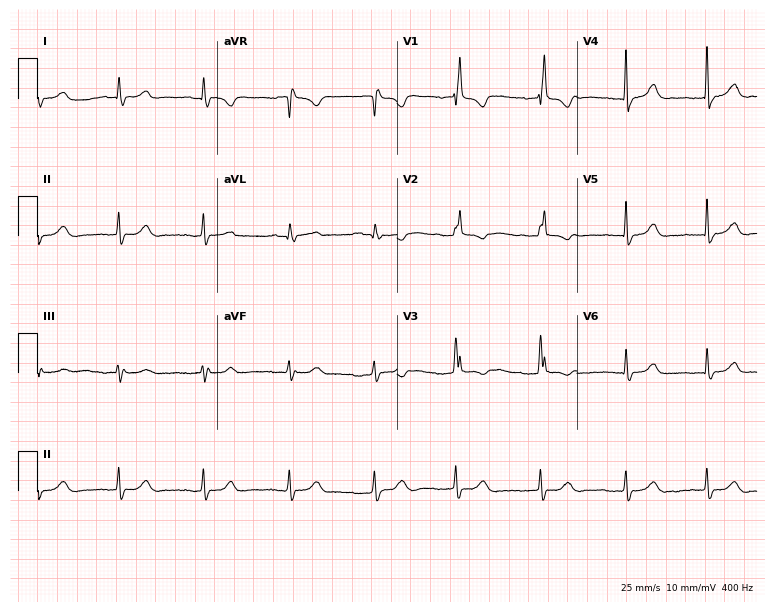
12-lead ECG from a 68-year-old female. Screened for six findings — first-degree AV block, right bundle branch block, left bundle branch block, sinus bradycardia, atrial fibrillation, sinus tachycardia — none is recorded. Only these six findings were labelled.